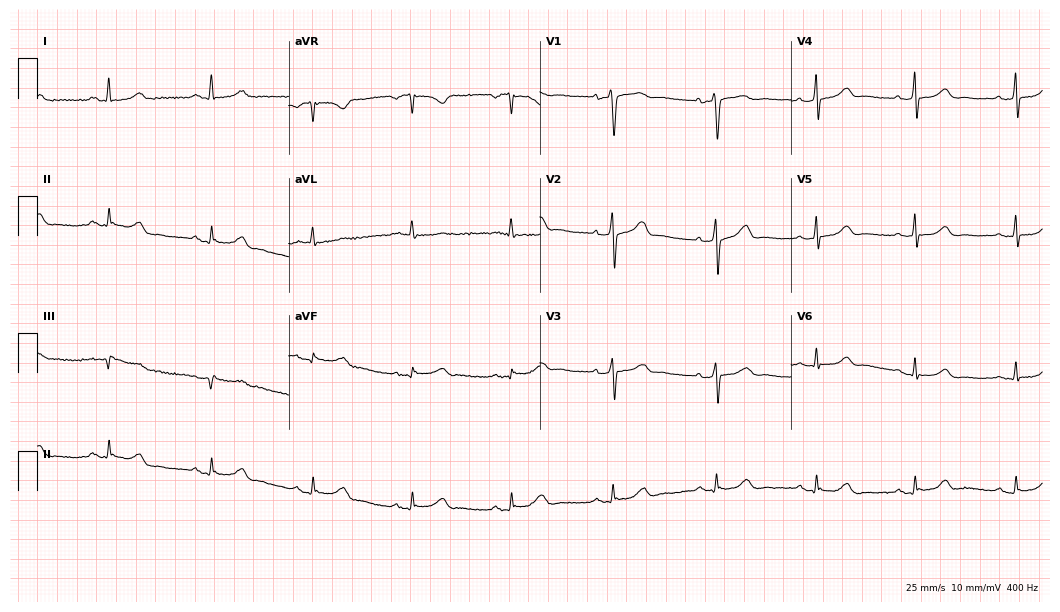
Resting 12-lead electrocardiogram. Patient: a 61-year-old woman. Read as a normal ECG.